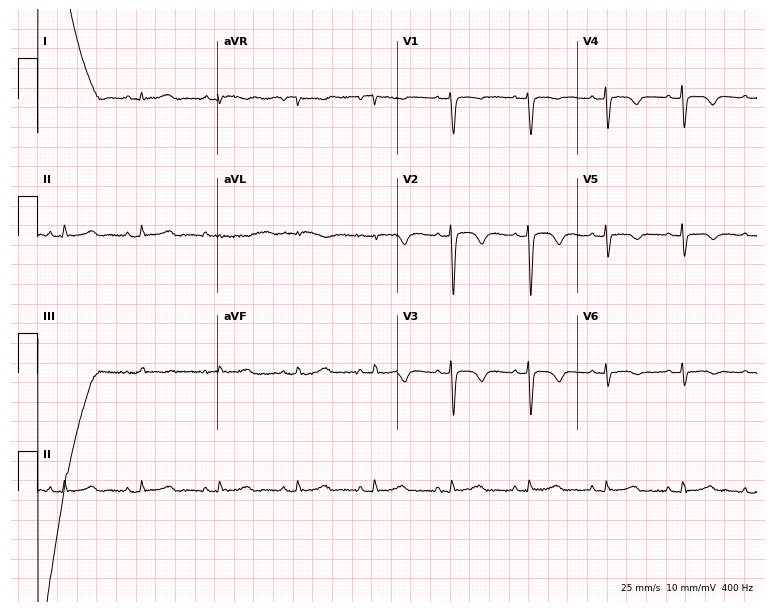
ECG (7.3-second recording at 400 Hz) — a female, 34 years old. Screened for six findings — first-degree AV block, right bundle branch block (RBBB), left bundle branch block (LBBB), sinus bradycardia, atrial fibrillation (AF), sinus tachycardia — none is recorded. Only these six findings were labelled.